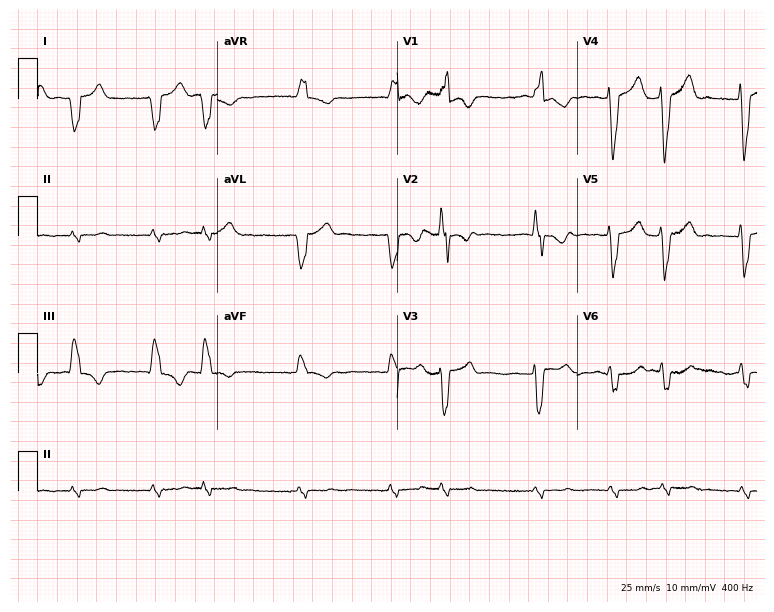
Resting 12-lead electrocardiogram (7.3-second recording at 400 Hz). Patient: an 84-year-old male. None of these six findings is recorded: first-degree AV block, right bundle branch block, left bundle branch block, sinus bradycardia, atrial fibrillation, sinus tachycardia.